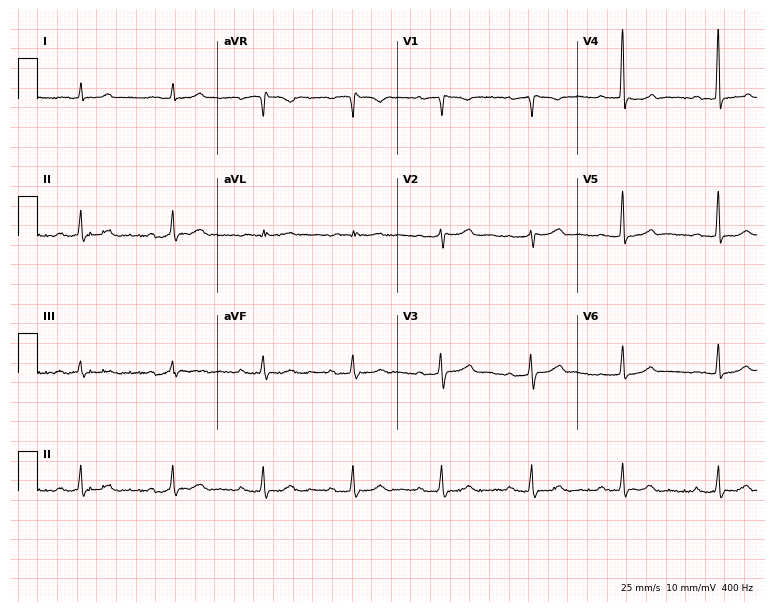
12-lead ECG from a woman, 79 years old. Recorded interpretation: within normal limits.